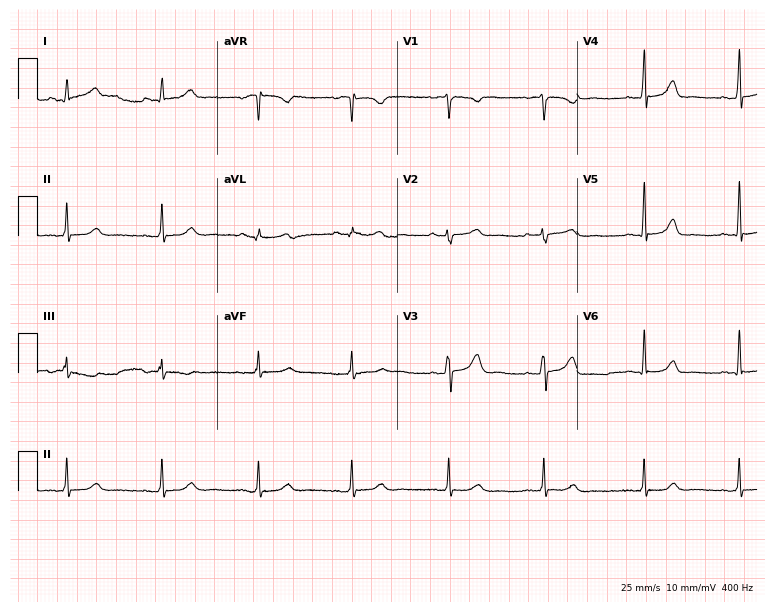
12-lead ECG (7.3-second recording at 400 Hz) from a woman, 34 years old. Labelled as a normal ECG.